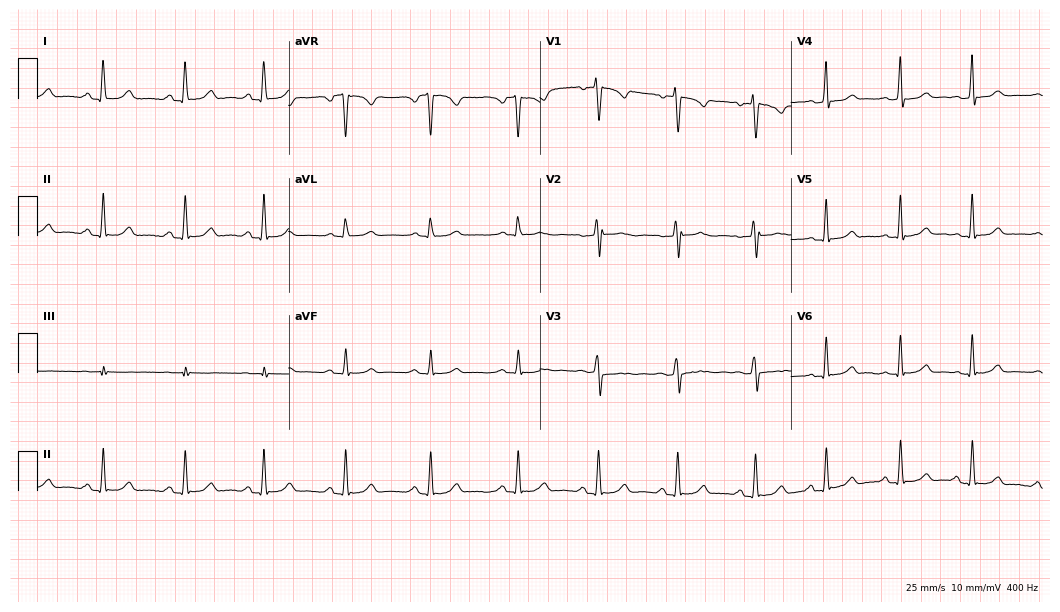
Standard 12-lead ECG recorded from a 30-year-old woman. None of these six findings is recorded: first-degree AV block, right bundle branch block (RBBB), left bundle branch block (LBBB), sinus bradycardia, atrial fibrillation (AF), sinus tachycardia.